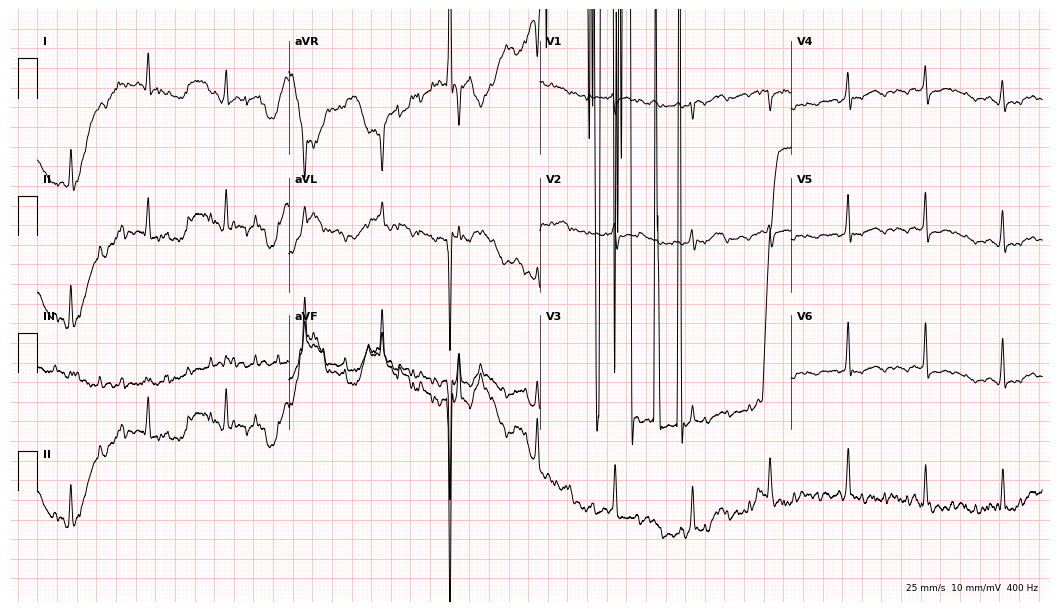
Resting 12-lead electrocardiogram (10.2-second recording at 400 Hz). Patient: a woman, 74 years old. None of these six findings is recorded: first-degree AV block, right bundle branch block (RBBB), left bundle branch block (LBBB), sinus bradycardia, atrial fibrillation (AF), sinus tachycardia.